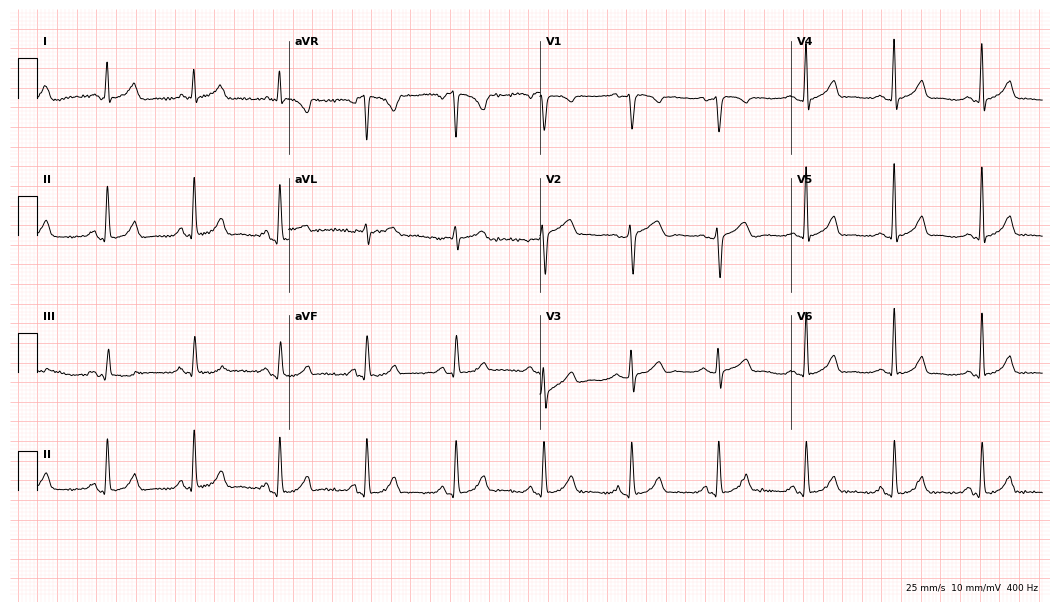
12-lead ECG from a female patient, 58 years old. Labelled as a normal ECG.